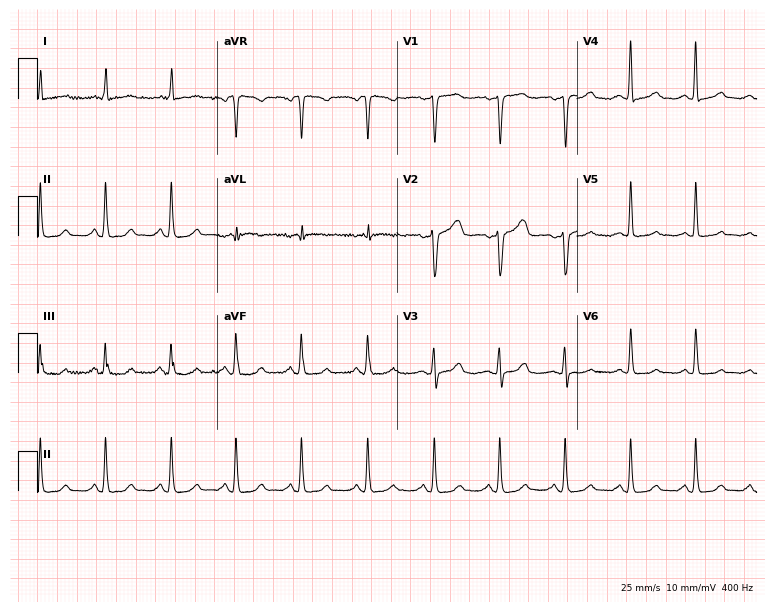
ECG (7.3-second recording at 400 Hz) — a female, 48 years old. Labelled as a normal ECG.